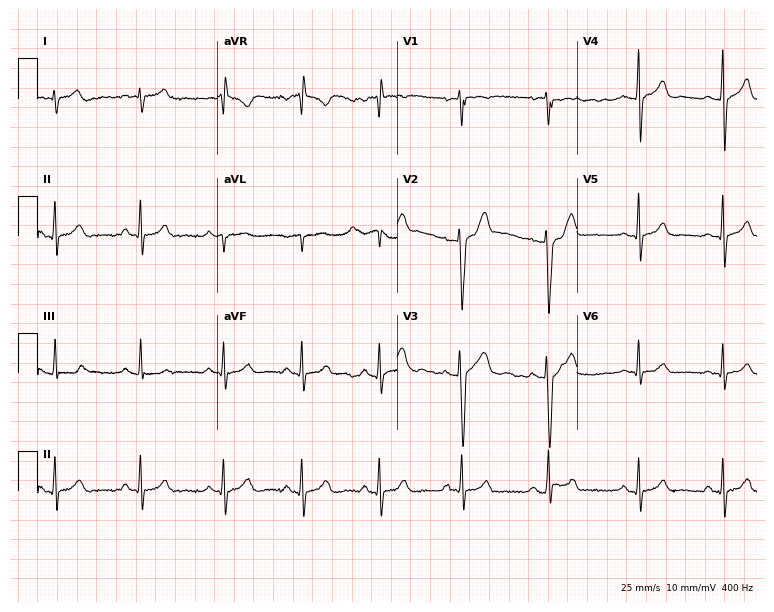
12-lead ECG from a 23-year-old man. Screened for six findings — first-degree AV block, right bundle branch block (RBBB), left bundle branch block (LBBB), sinus bradycardia, atrial fibrillation (AF), sinus tachycardia — none is recorded. Only these six findings were labelled.